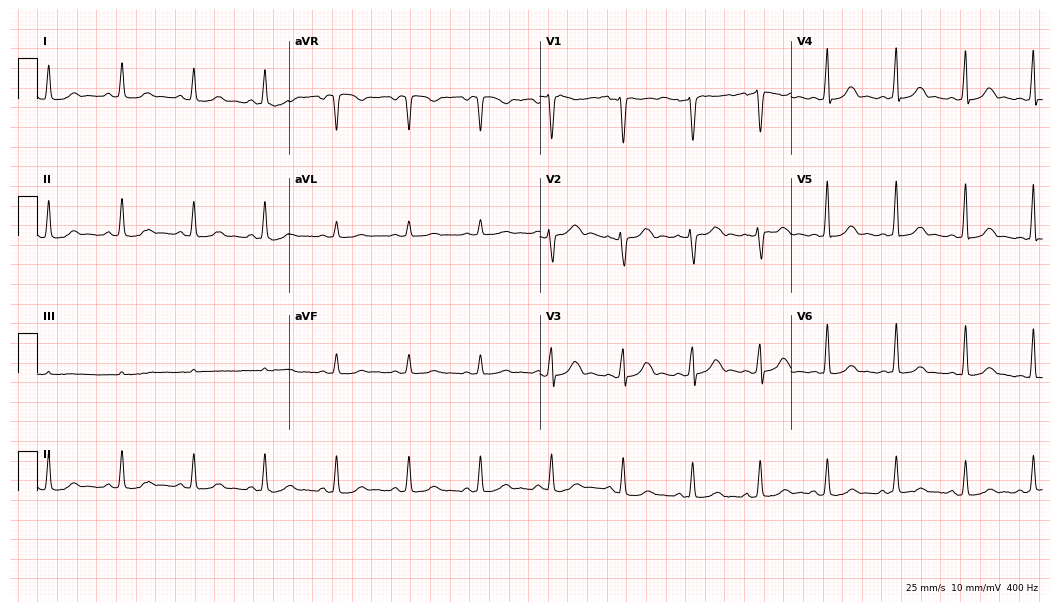
ECG (10.2-second recording at 400 Hz) — a female, 34 years old. Labelled as a normal ECG.